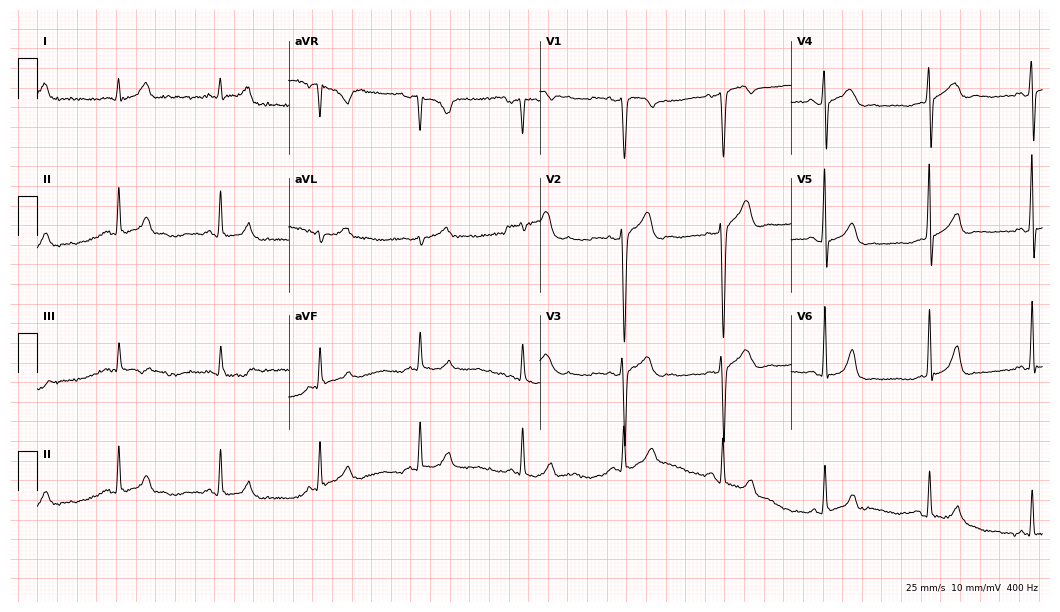
12-lead ECG from a male patient, 51 years old. Labelled as a normal ECG.